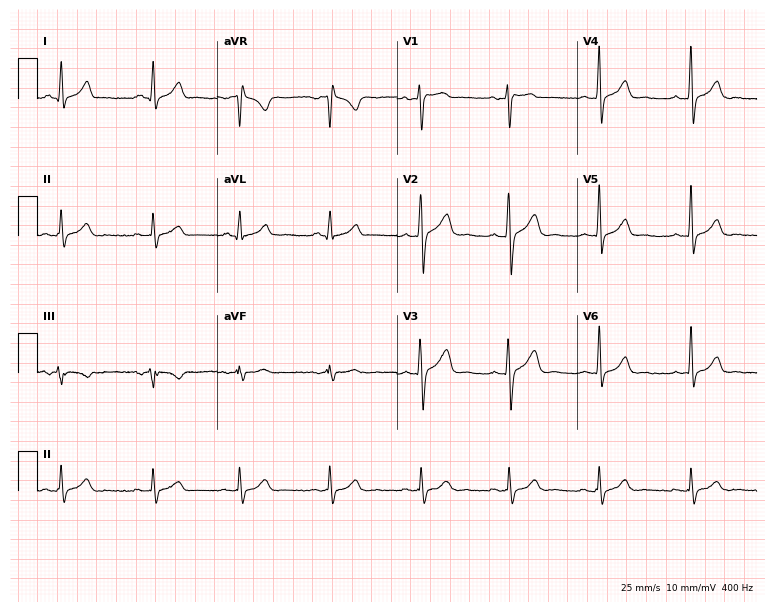
ECG (7.3-second recording at 400 Hz) — a 26-year-old male. Labelled as a normal ECG.